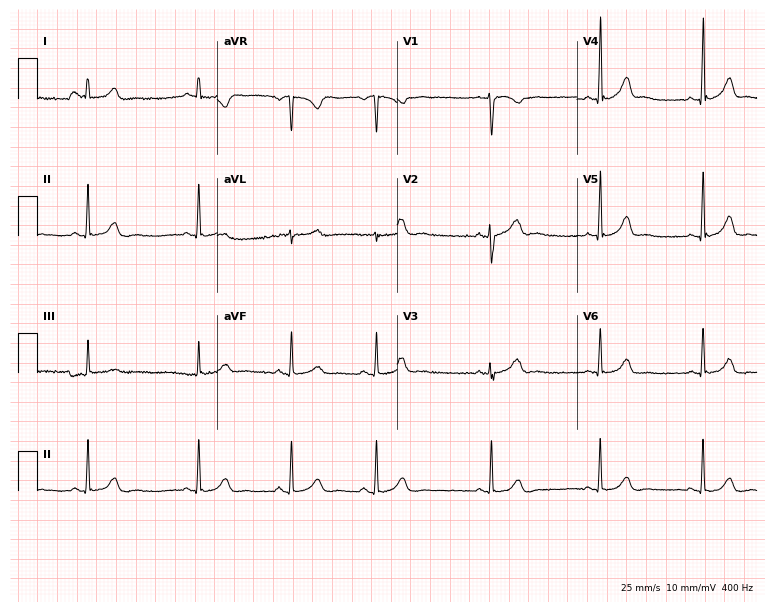
Standard 12-lead ECG recorded from a 23-year-old woman. Read as a normal ECG.